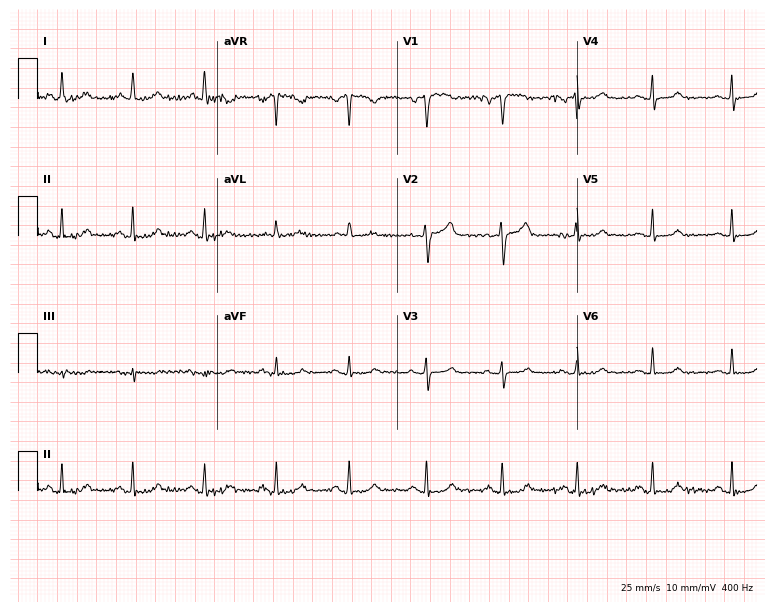
Standard 12-lead ECG recorded from a 74-year-old female. None of these six findings is recorded: first-degree AV block, right bundle branch block, left bundle branch block, sinus bradycardia, atrial fibrillation, sinus tachycardia. Other findings, if any, are not listed.